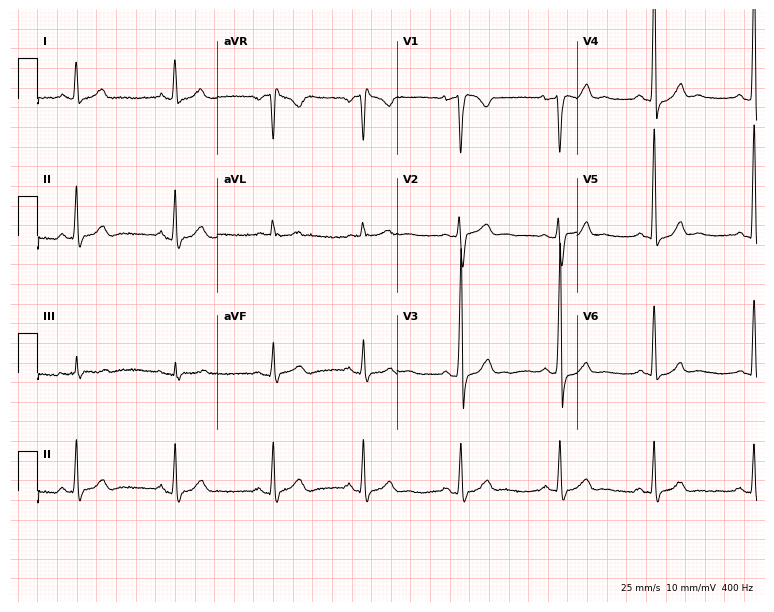
Electrocardiogram (7.3-second recording at 400 Hz), a man, 38 years old. Of the six screened findings (first-degree AV block, right bundle branch block, left bundle branch block, sinus bradycardia, atrial fibrillation, sinus tachycardia), none is recorded.